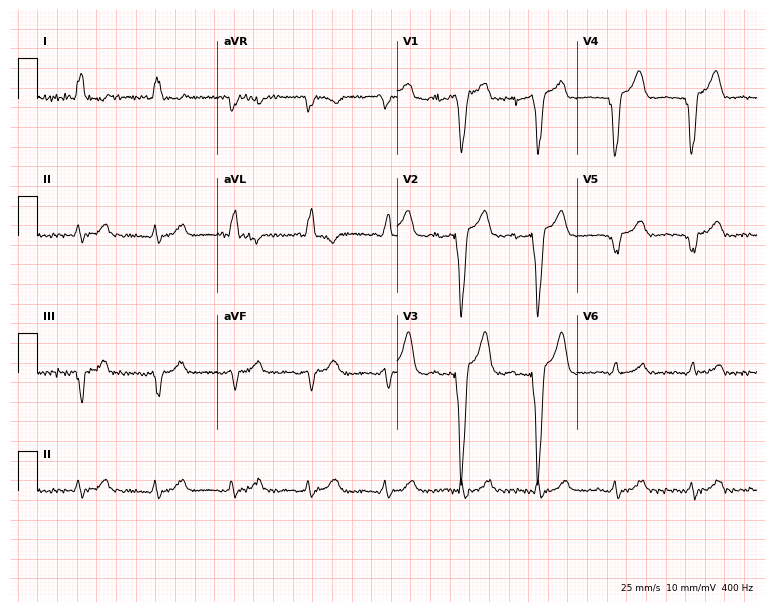
Electrocardiogram, a woman, 76 years old. Of the six screened findings (first-degree AV block, right bundle branch block, left bundle branch block, sinus bradycardia, atrial fibrillation, sinus tachycardia), none is recorded. Findings outside these six are not listed.